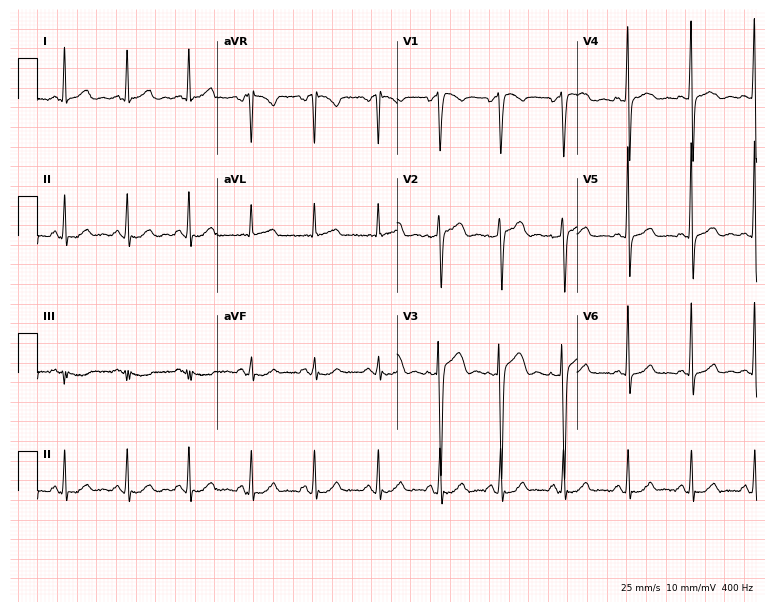
12-lead ECG from a 51-year-old woman. Recorded interpretation: within normal limits.